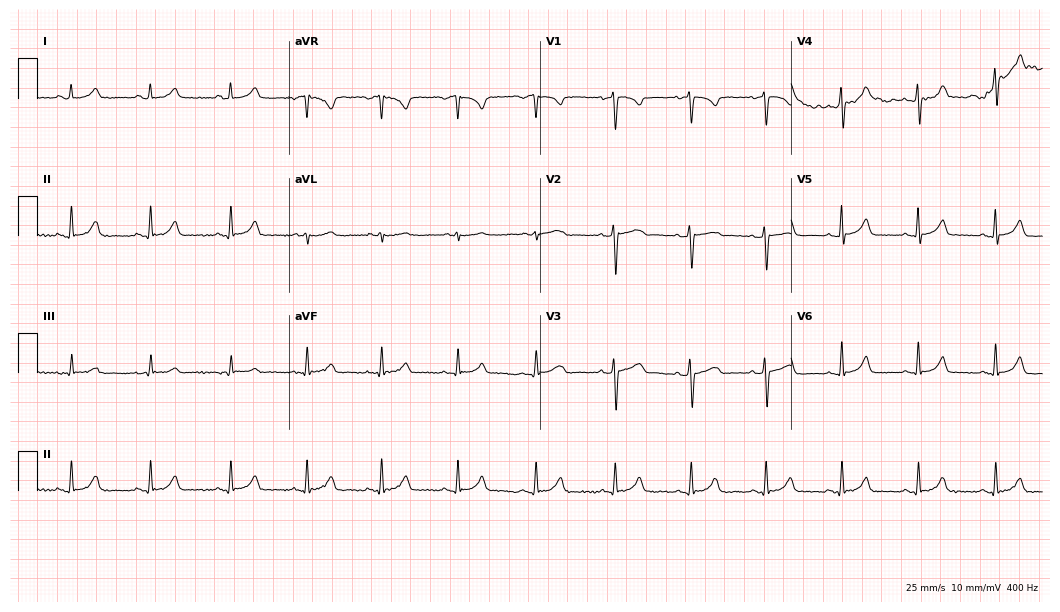
Electrocardiogram, a 47-year-old female. Overall reading on record: normal ECG.